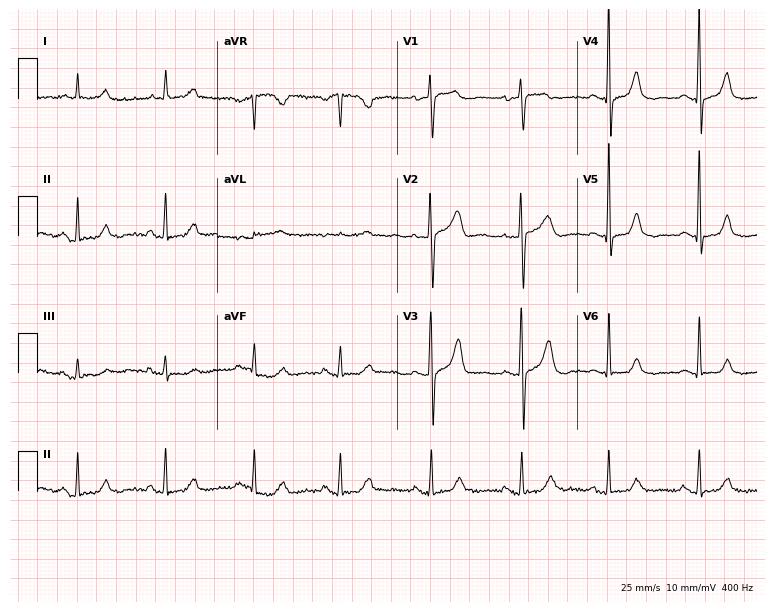
ECG (7.3-second recording at 400 Hz) — a 60-year-old woman. Screened for six findings — first-degree AV block, right bundle branch block (RBBB), left bundle branch block (LBBB), sinus bradycardia, atrial fibrillation (AF), sinus tachycardia — none is recorded. Other findings, if any, are not listed.